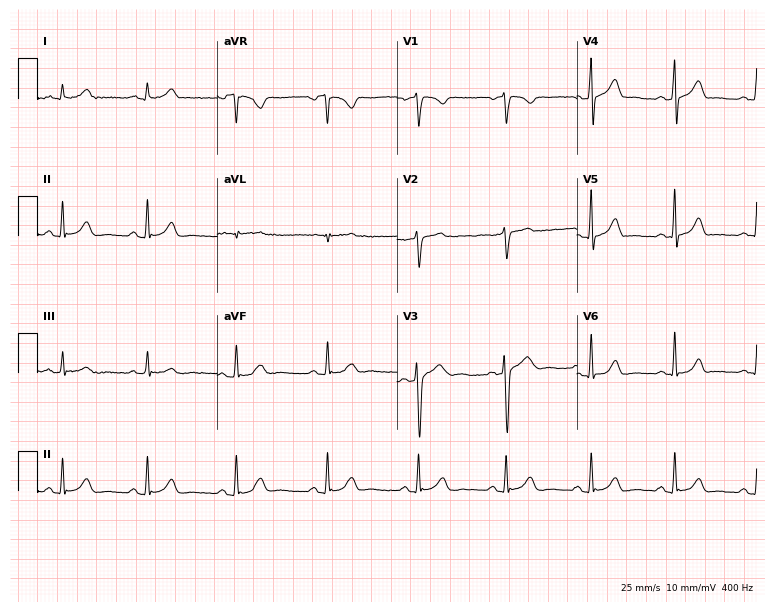
ECG (7.3-second recording at 400 Hz) — a 33-year-old female patient. Screened for six findings — first-degree AV block, right bundle branch block (RBBB), left bundle branch block (LBBB), sinus bradycardia, atrial fibrillation (AF), sinus tachycardia — none is recorded. Findings outside these six are not listed.